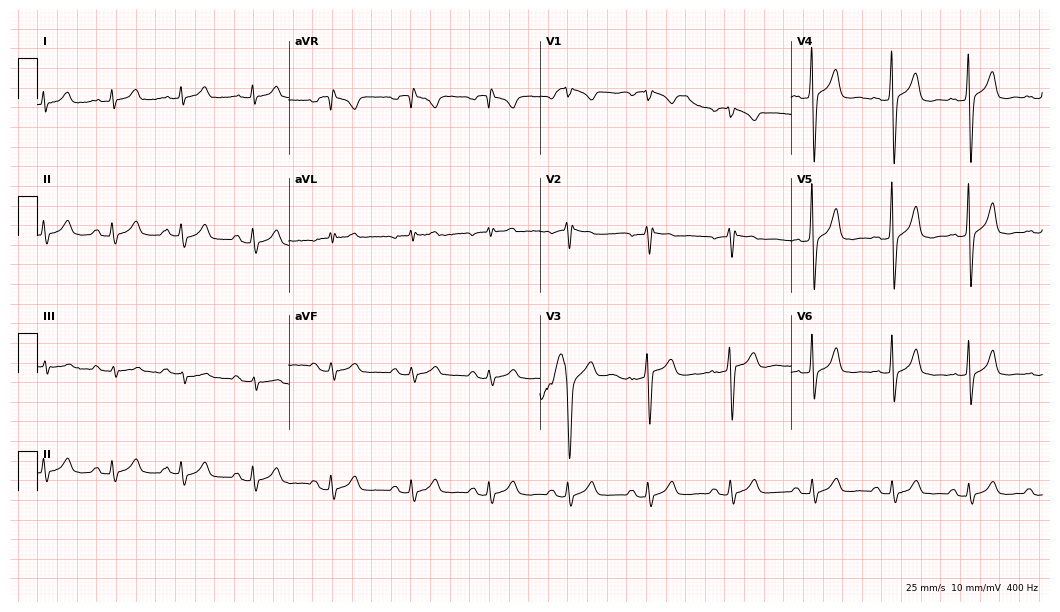
12-lead ECG from a male, 42 years old. Labelled as a normal ECG.